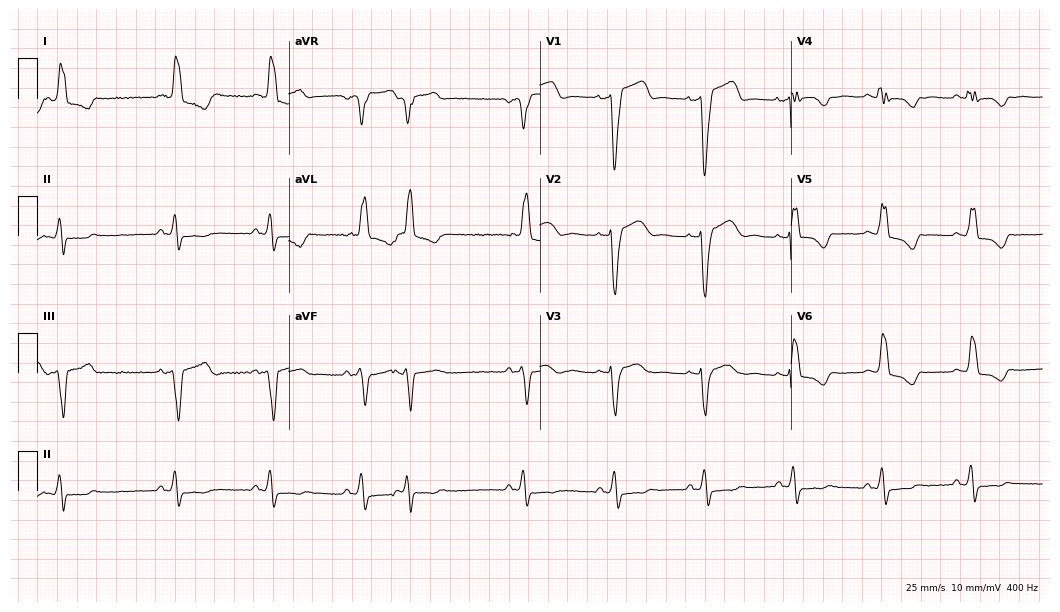
Electrocardiogram (10.2-second recording at 400 Hz), a female patient, 62 years old. Interpretation includes left bundle branch block (LBBB).